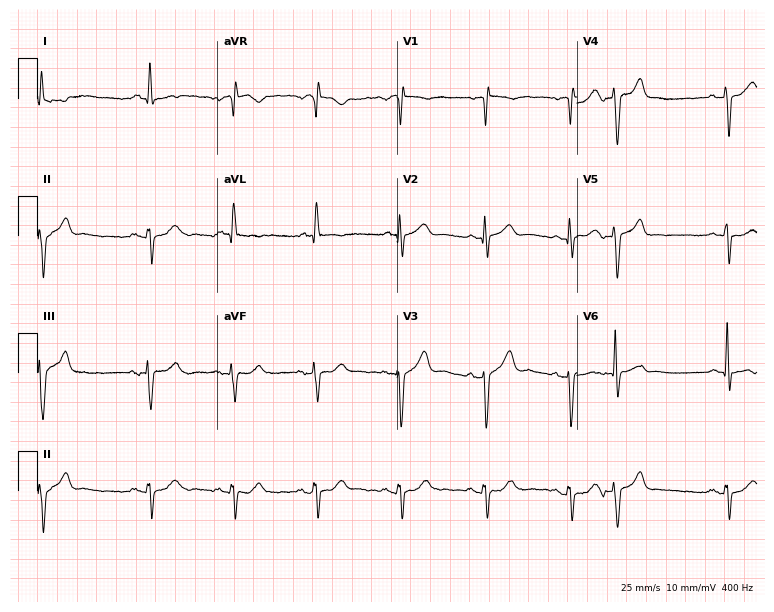
Standard 12-lead ECG recorded from a male patient, 75 years old (7.3-second recording at 400 Hz). None of these six findings is recorded: first-degree AV block, right bundle branch block (RBBB), left bundle branch block (LBBB), sinus bradycardia, atrial fibrillation (AF), sinus tachycardia. Other findings, if any, are not listed.